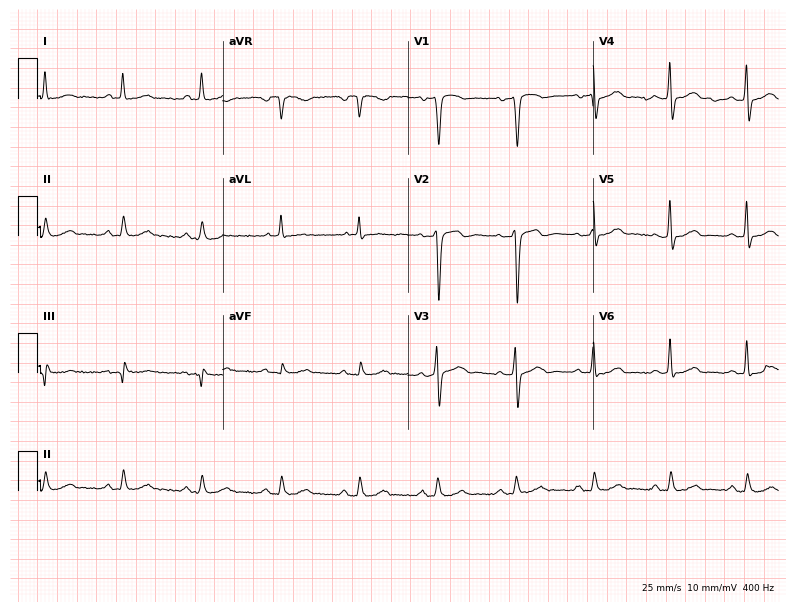
ECG — a man, 76 years old. Labelled as a normal ECG.